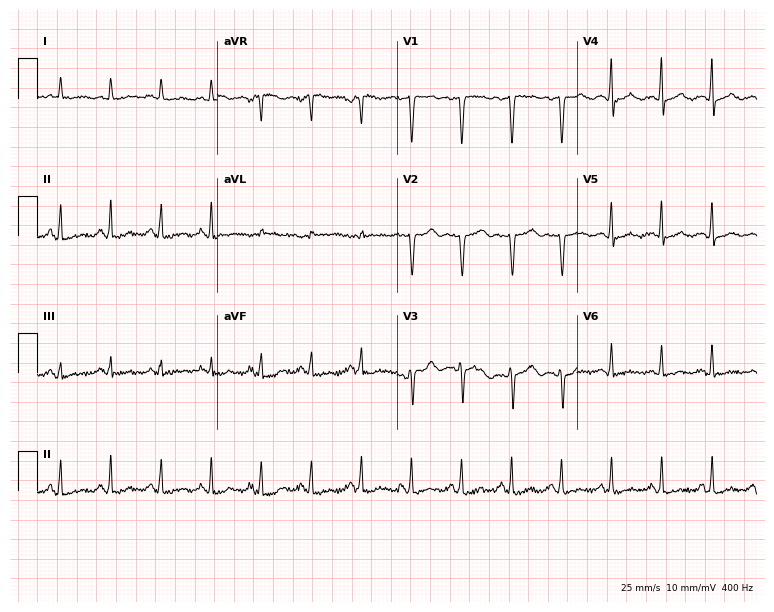
12-lead ECG (7.3-second recording at 400 Hz) from a female, 30 years old. Findings include sinus tachycardia (a sinus rate of 100 beats per minute or more).